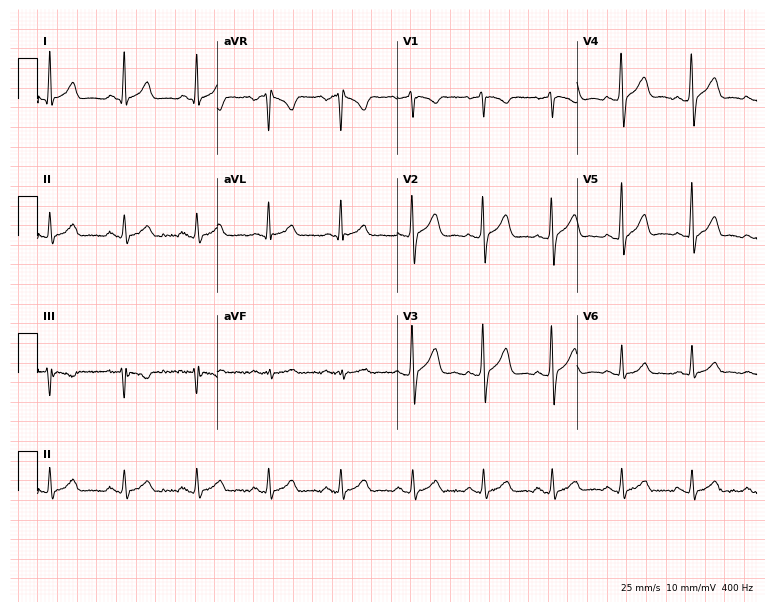
ECG — a 31-year-old male. Labelled as a normal ECG.